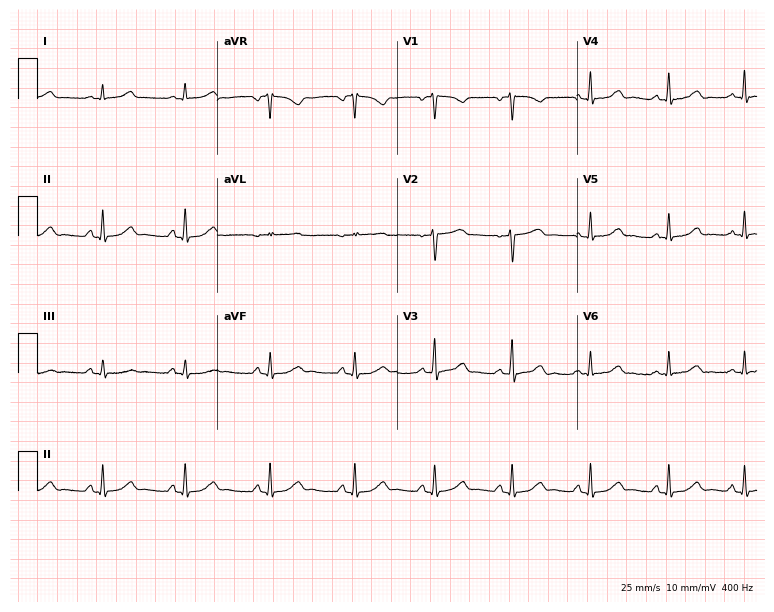
12-lead ECG (7.3-second recording at 400 Hz) from a female, 40 years old. Labelled as a normal ECG.